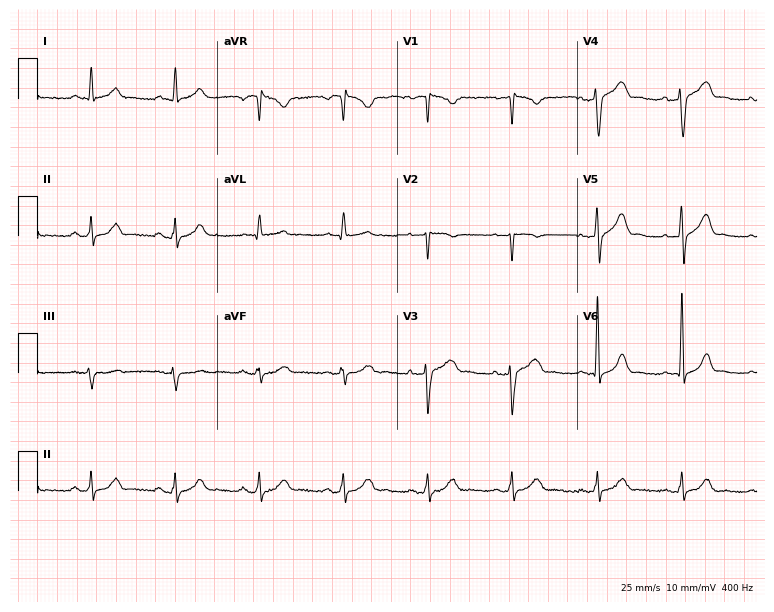
Electrocardiogram, a 48-year-old male patient. Of the six screened findings (first-degree AV block, right bundle branch block (RBBB), left bundle branch block (LBBB), sinus bradycardia, atrial fibrillation (AF), sinus tachycardia), none is recorded.